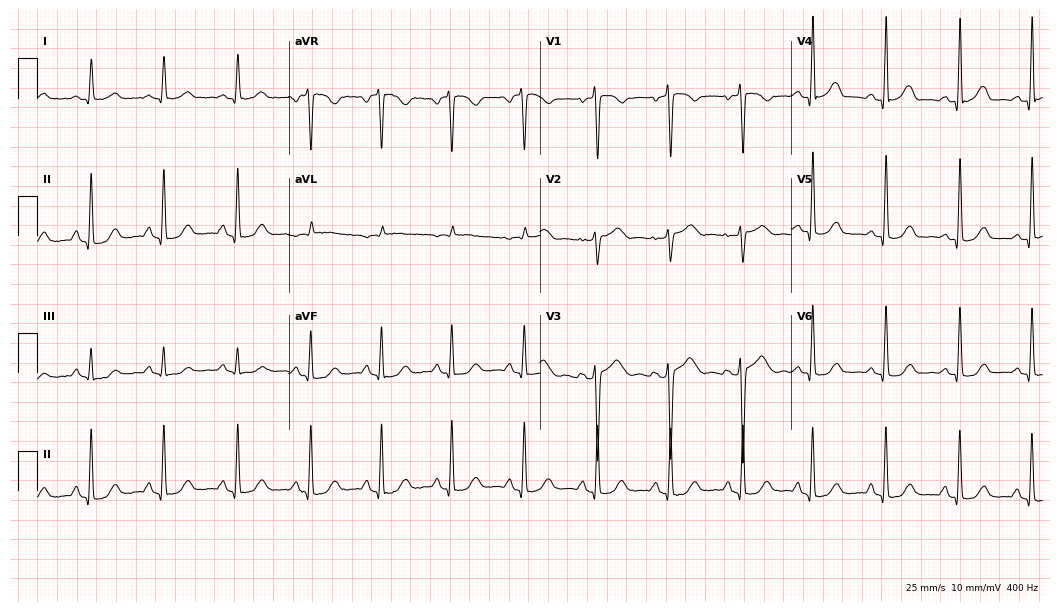
Standard 12-lead ECG recorded from a 60-year-old female. Read as a normal ECG.